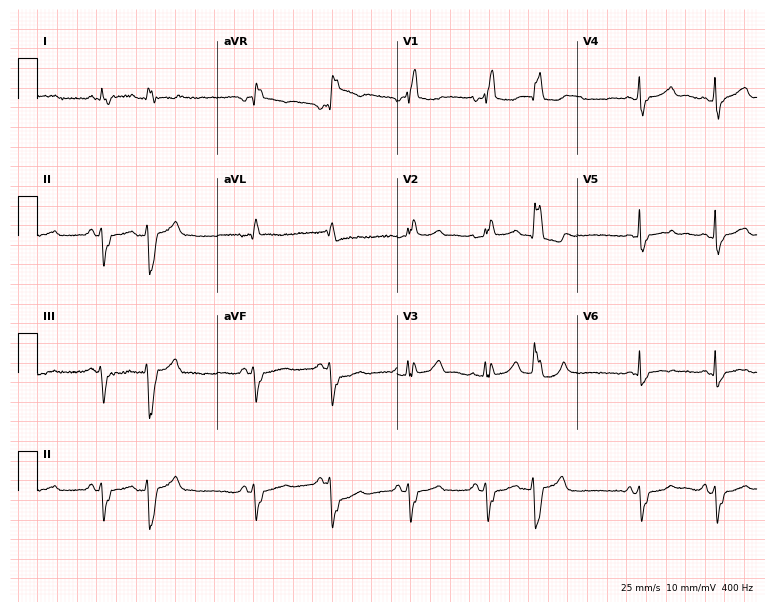
Standard 12-lead ECG recorded from a male, 84 years old (7.3-second recording at 400 Hz). None of these six findings is recorded: first-degree AV block, right bundle branch block, left bundle branch block, sinus bradycardia, atrial fibrillation, sinus tachycardia. Findings outside these six are not listed.